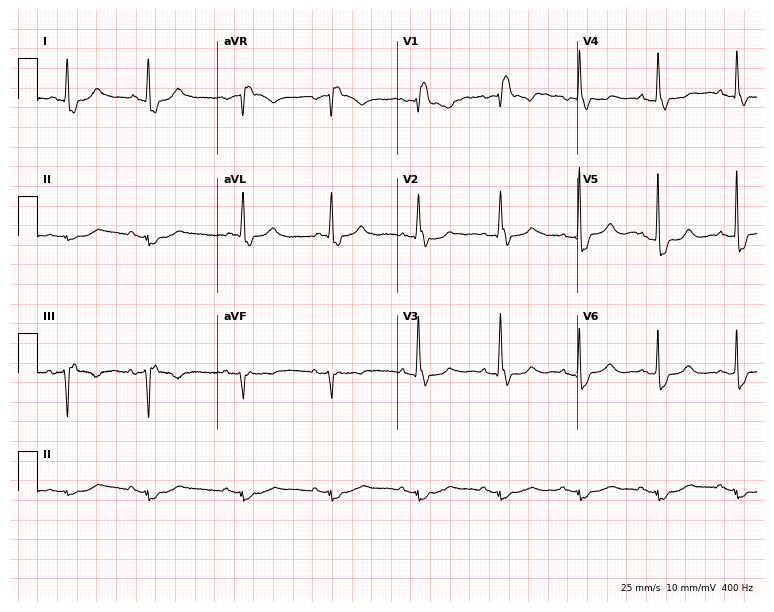
Resting 12-lead electrocardiogram. Patient: a female, 79 years old. The tracing shows right bundle branch block.